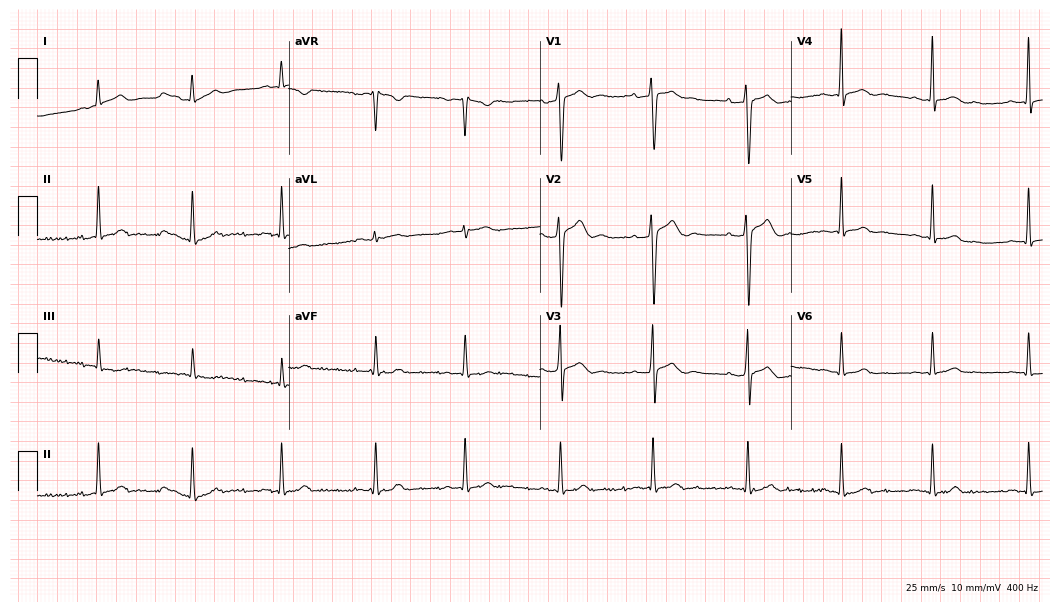
Resting 12-lead electrocardiogram (10.2-second recording at 400 Hz). Patient: a male, 25 years old. Read as a normal ECG.